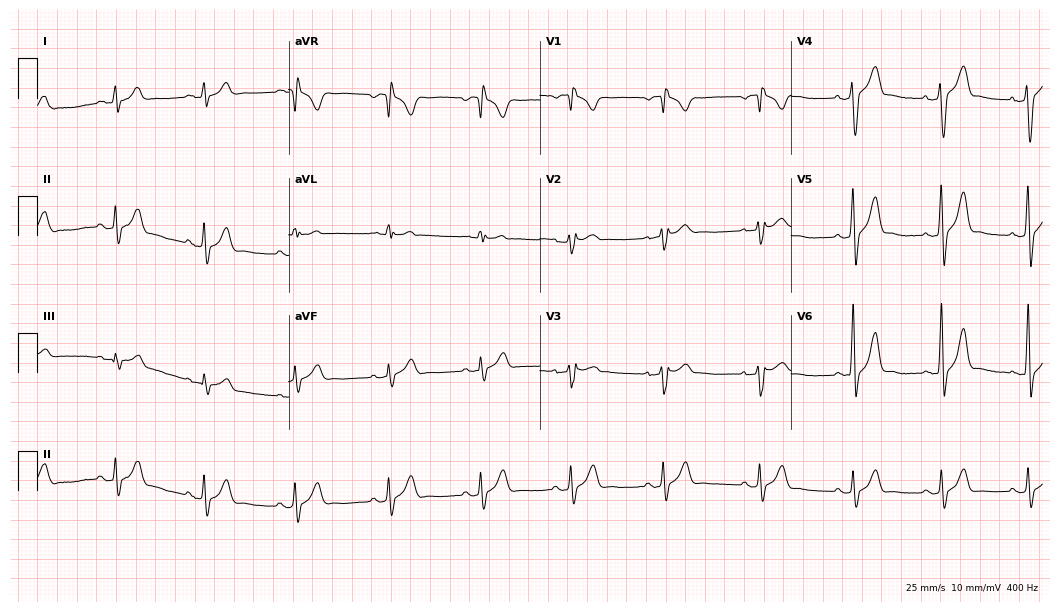
Electrocardiogram, a 29-year-old male patient. Of the six screened findings (first-degree AV block, right bundle branch block, left bundle branch block, sinus bradycardia, atrial fibrillation, sinus tachycardia), none is recorded.